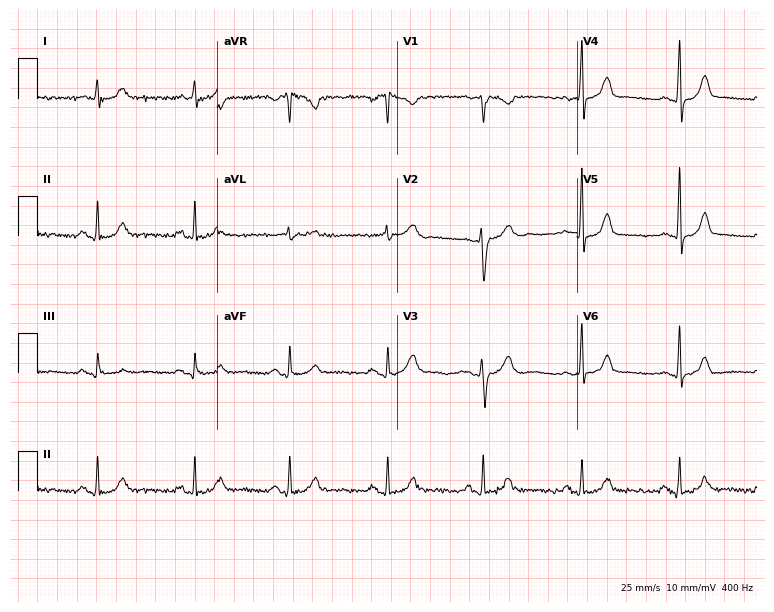
Resting 12-lead electrocardiogram. Patient: a female, 35 years old. None of these six findings is recorded: first-degree AV block, right bundle branch block, left bundle branch block, sinus bradycardia, atrial fibrillation, sinus tachycardia.